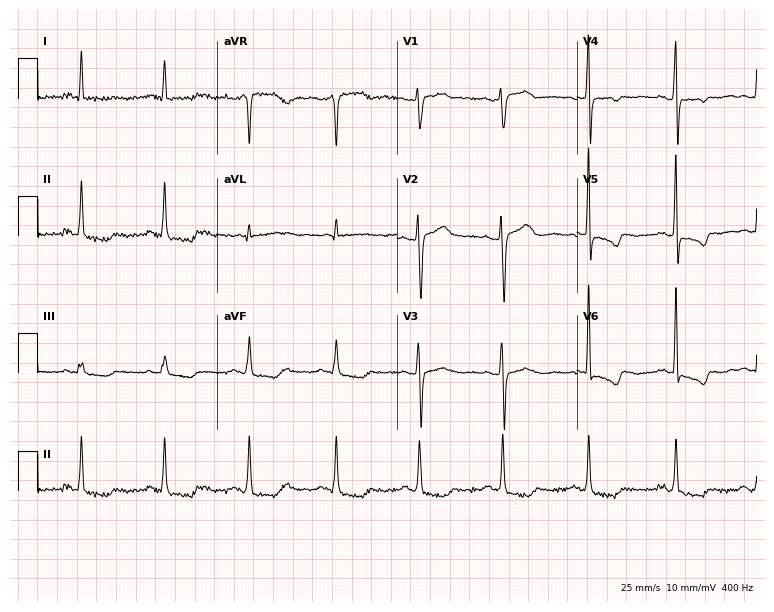
Standard 12-lead ECG recorded from a female, 55 years old (7.3-second recording at 400 Hz). None of these six findings is recorded: first-degree AV block, right bundle branch block, left bundle branch block, sinus bradycardia, atrial fibrillation, sinus tachycardia. Findings outside these six are not listed.